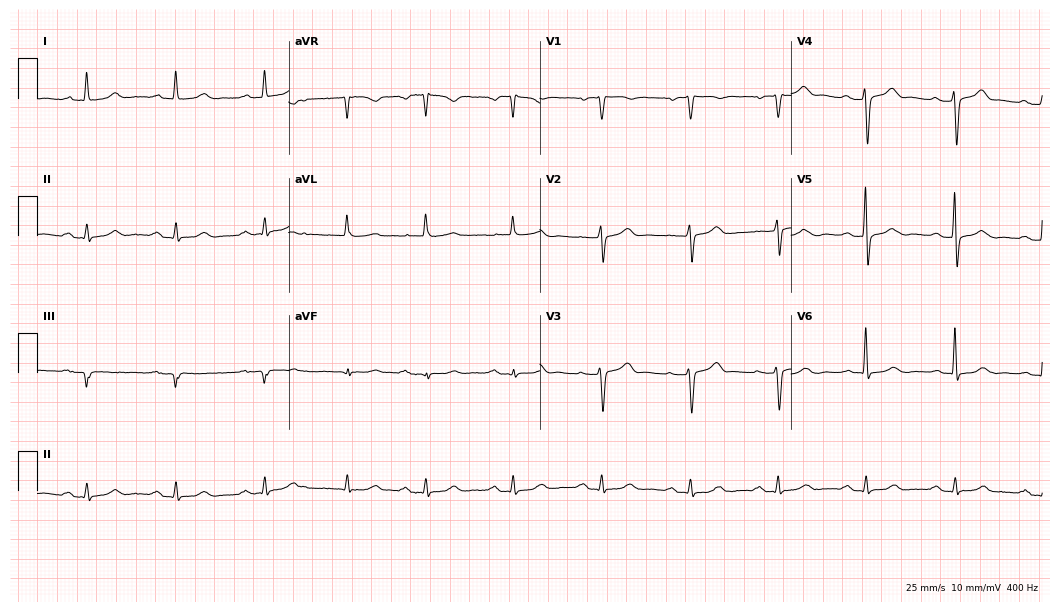
Standard 12-lead ECG recorded from a male patient, 78 years old. None of these six findings is recorded: first-degree AV block, right bundle branch block, left bundle branch block, sinus bradycardia, atrial fibrillation, sinus tachycardia. Other findings, if any, are not listed.